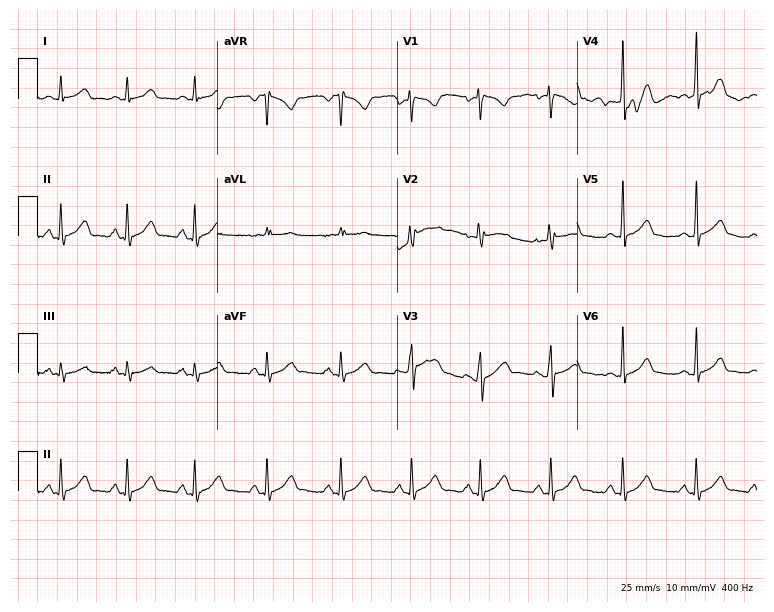
Electrocardiogram, a female, 35 years old. Of the six screened findings (first-degree AV block, right bundle branch block (RBBB), left bundle branch block (LBBB), sinus bradycardia, atrial fibrillation (AF), sinus tachycardia), none is recorded.